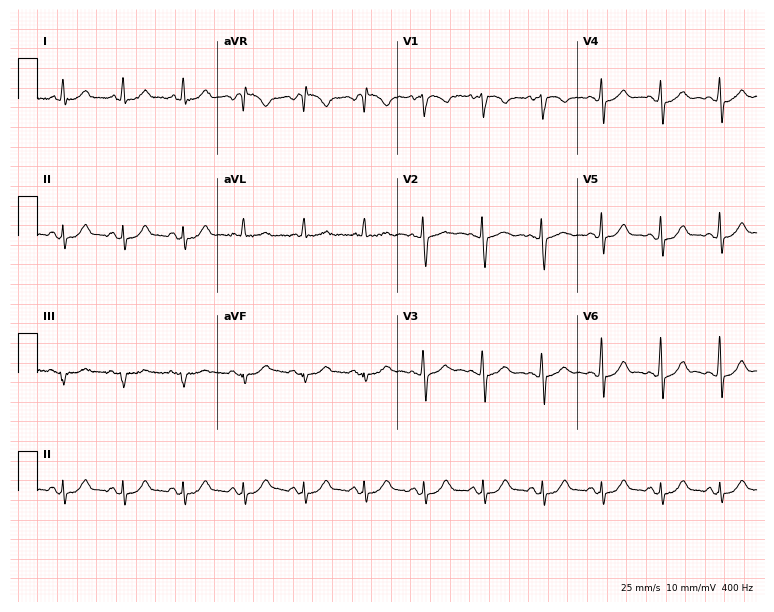
12-lead ECG from a 31-year-old female patient. Recorded interpretation: within normal limits.